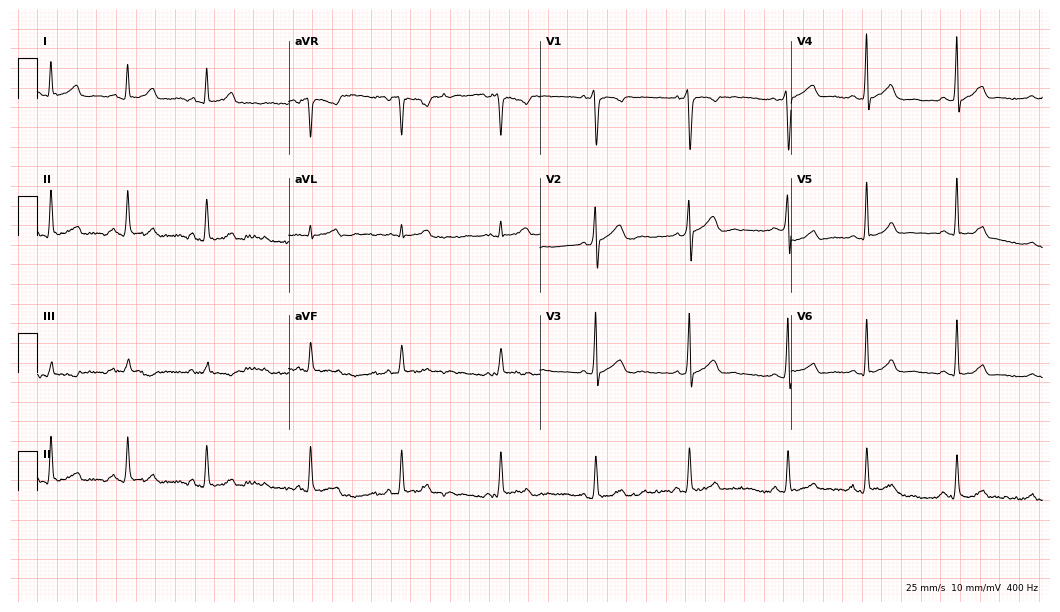
ECG (10.2-second recording at 400 Hz) — a male patient, 29 years old. Screened for six findings — first-degree AV block, right bundle branch block (RBBB), left bundle branch block (LBBB), sinus bradycardia, atrial fibrillation (AF), sinus tachycardia — none is recorded. Only these six findings were labelled.